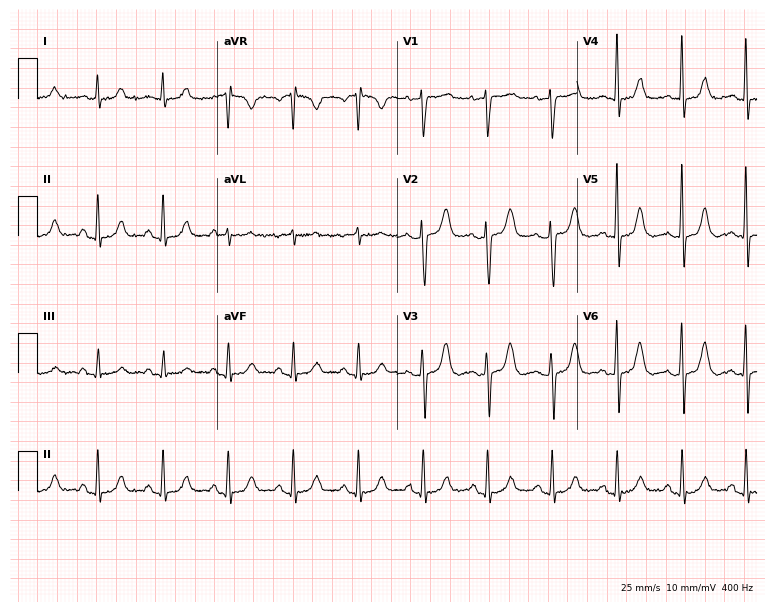
Electrocardiogram (7.3-second recording at 400 Hz), a male, 73 years old. Of the six screened findings (first-degree AV block, right bundle branch block, left bundle branch block, sinus bradycardia, atrial fibrillation, sinus tachycardia), none is recorded. Other findings, if any, are not listed.